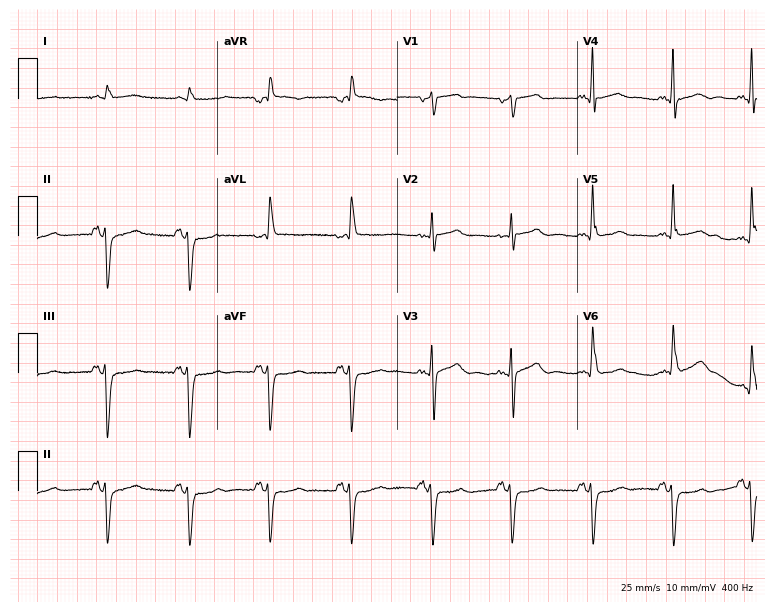
Electrocardiogram, a man, 80 years old. Of the six screened findings (first-degree AV block, right bundle branch block, left bundle branch block, sinus bradycardia, atrial fibrillation, sinus tachycardia), none is recorded.